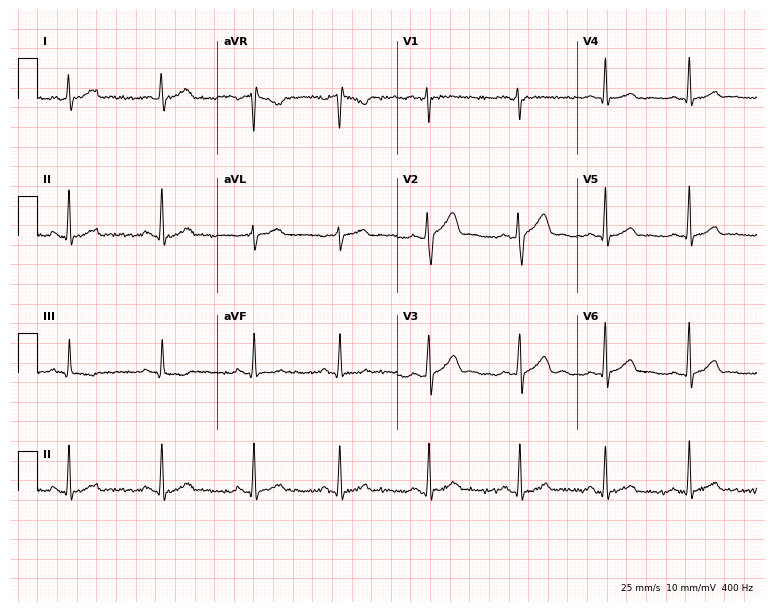
Electrocardiogram (7.3-second recording at 400 Hz), a male, 32 years old. Of the six screened findings (first-degree AV block, right bundle branch block, left bundle branch block, sinus bradycardia, atrial fibrillation, sinus tachycardia), none is recorded. Only these six findings were labelled.